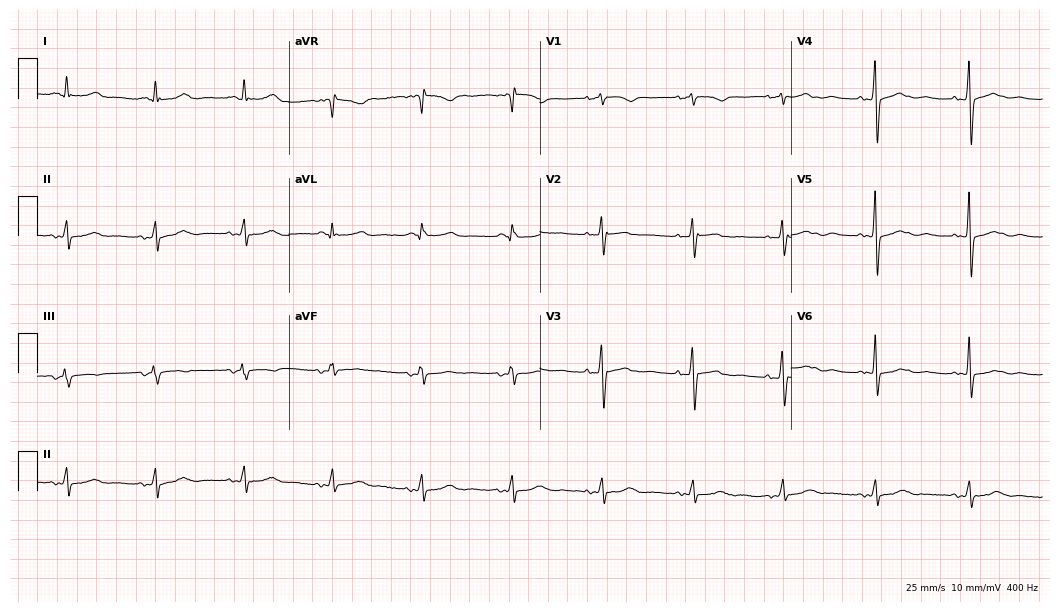
12-lead ECG from a woman, 64 years old. No first-degree AV block, right bundle branch block (RBBB), left bundle branch block (LBBB), sinus bradycardia, atrial fibrillation (AF) or sinus tachycardia recorded for this tracing.